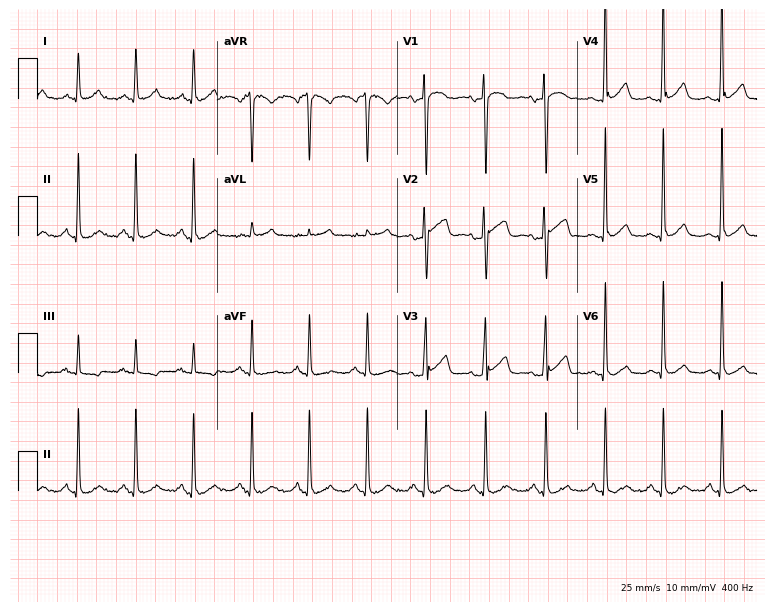
Electrocardiogram (7.3-second recording at 400 Hz), a 41-year-old female. Interpretation includes sinus tachycardia (a sinus rate of 100 beats per minute or more).